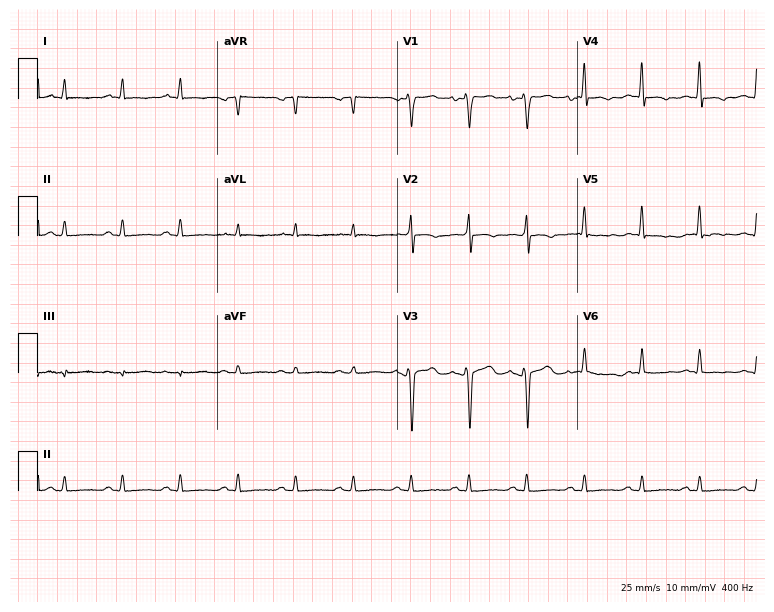
12-lead ECG (7.3-second recording at 400 Hz) from a male patient, 35 years old. Screened for six findings — first-degree AV block, right bundle branch block, left bundle branch block, sinus bradycardia, atrial fibrillation, sinus tachycardia — none is recorded.